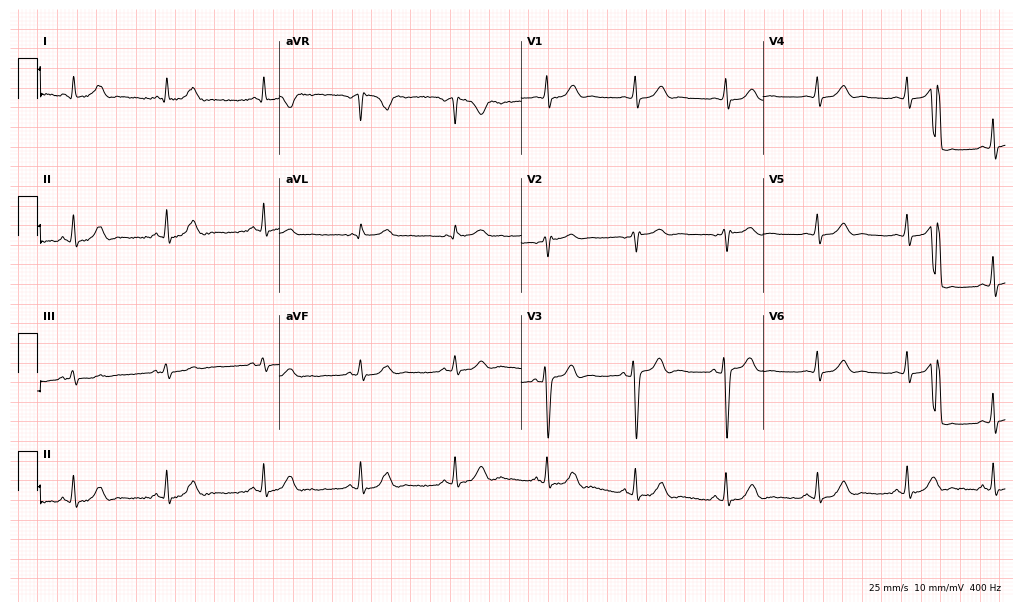
Electrocardiogram (9.9-second recording at 400 Hz), a 32-year-old male patient. Overall reading on record: normal ECG.